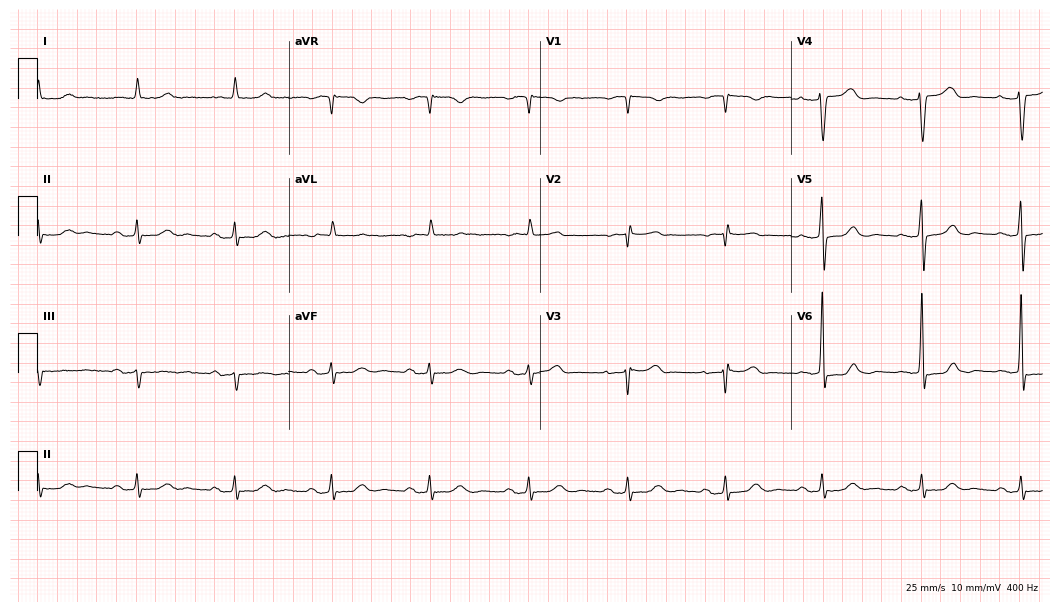
12-lead ECG from a female, 76 years old. Screened for six findings — first-degree AV block, right bundle branch block, left bundle branch block, sinus bradycardia, atrial fibrillation, sinus tachycardia — none is recorded. Findings outside these six are not listed.